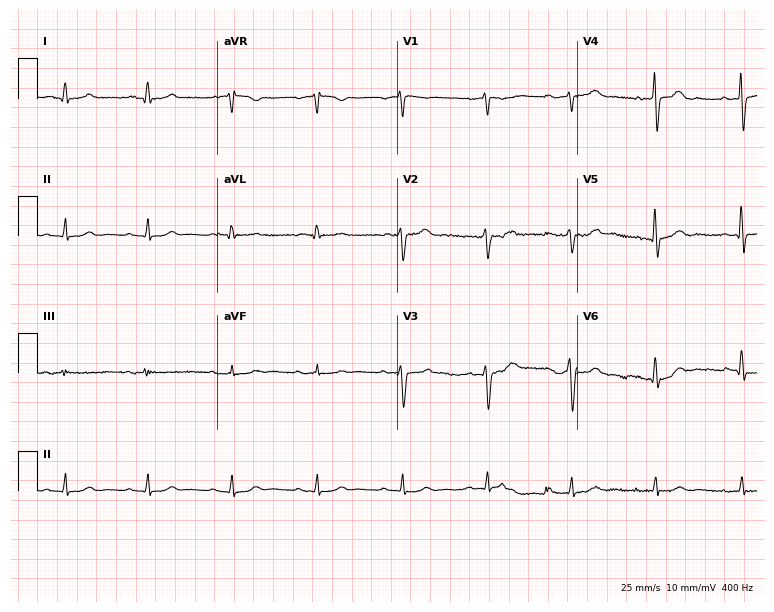
Electrocardiogram, a 49-year-old man. Overall reading on record: normal ECG.